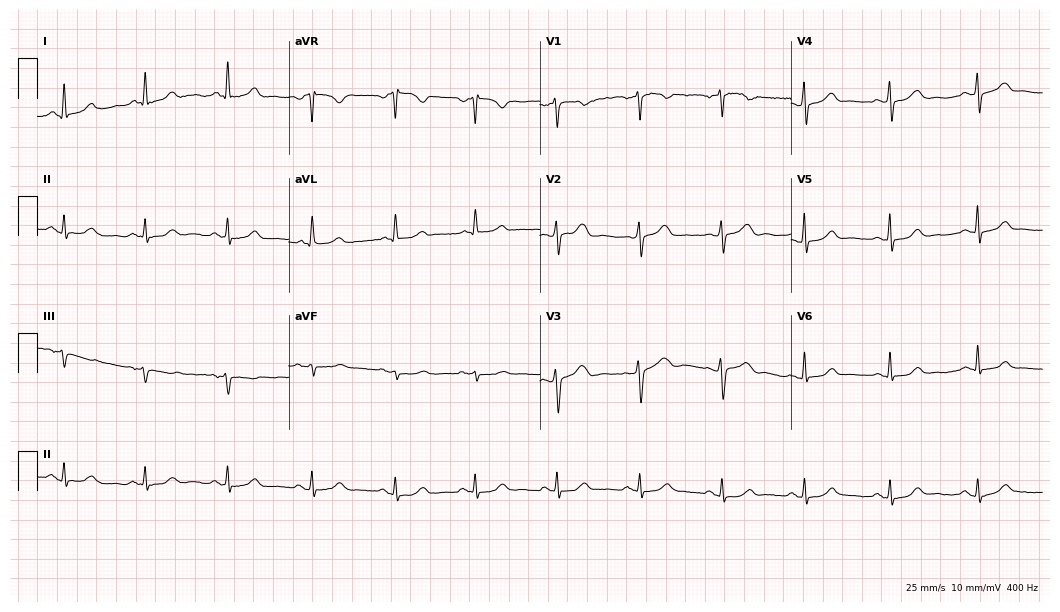
Electrocardiogram, a 51-year-old woman. Overall reading on record: normal ECG.